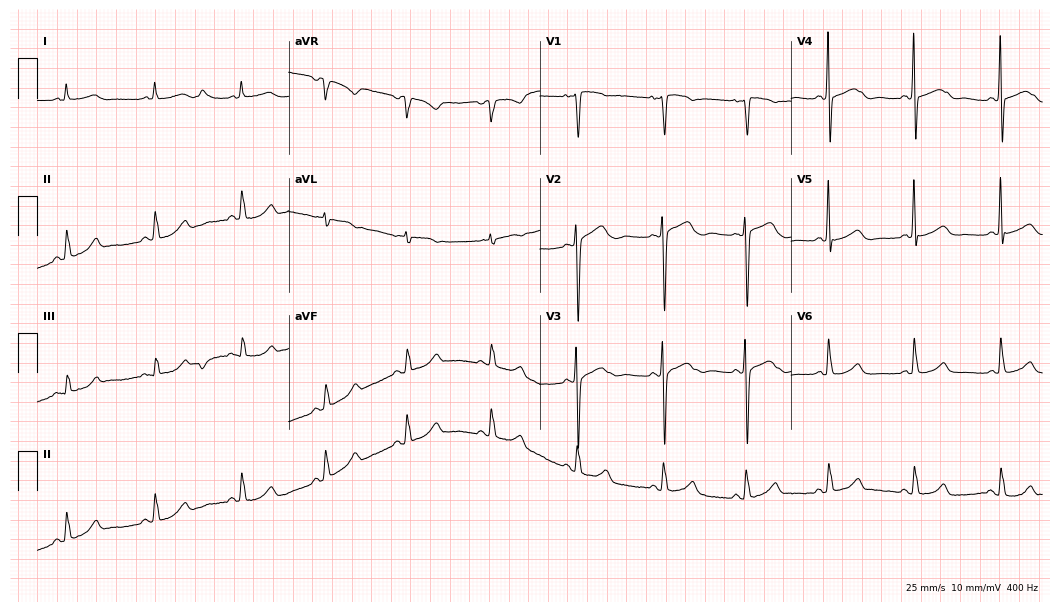
Resting 12-lead electrocardiogram. Patient: a female, 78 years old. Read as a normal ECG.